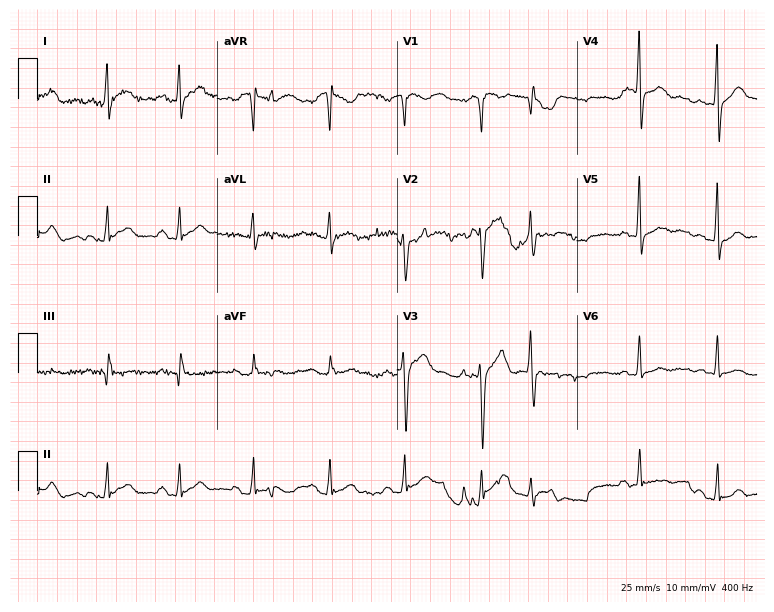
Electrocardiogram, a man, 55 years old. Of the six screened findings (first-degree AV block, right bundle branch block, left bundle branch block, sinus bradycardia, atrial fibrillation, sinus tachycardia), none is recorded.